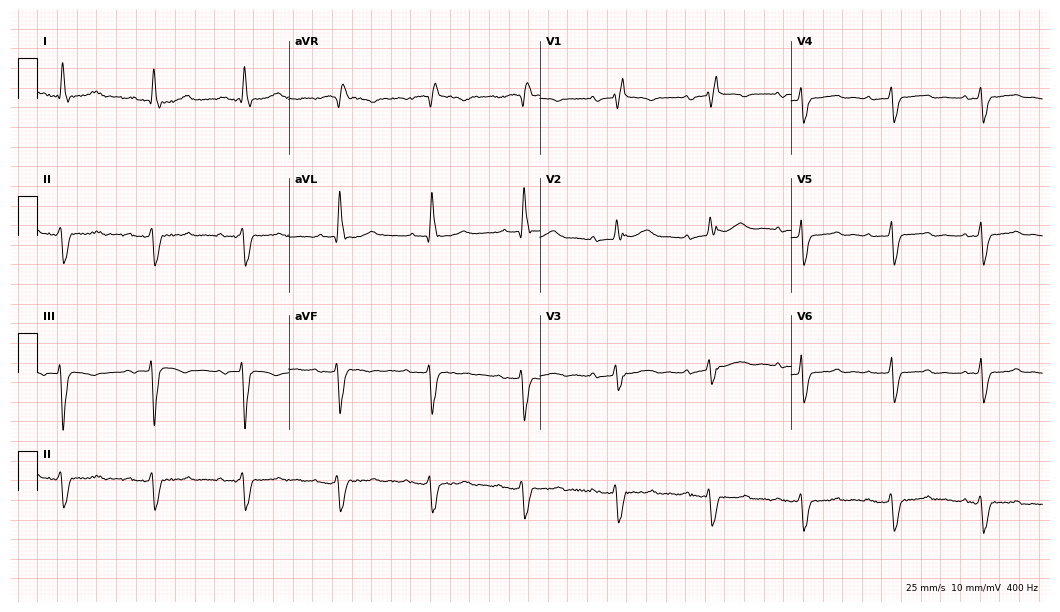
12-lead ECG from a 65-year-old female (10.2-second recording at 400 Hz). Shows first-degree AV block, right bundle branch block (RBBB).